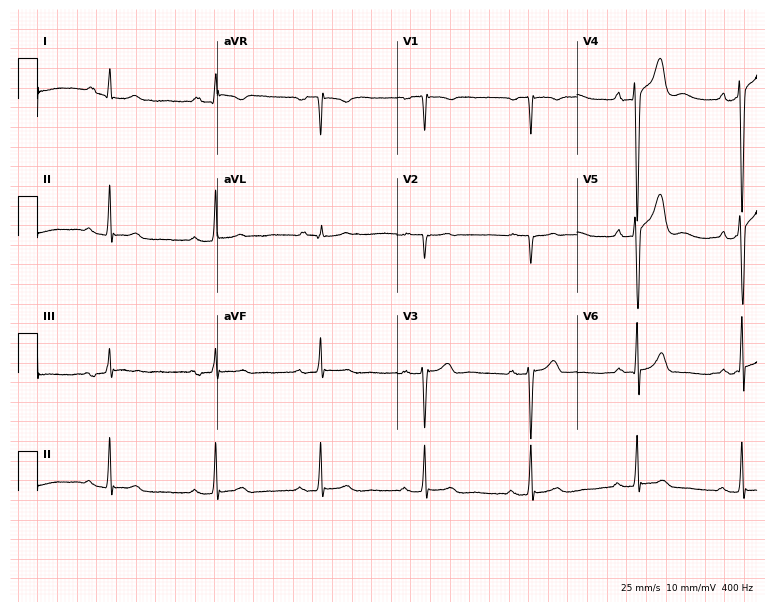
12-lead ECG from a 25-year-old male. Recorded interpretation: within normal limits.